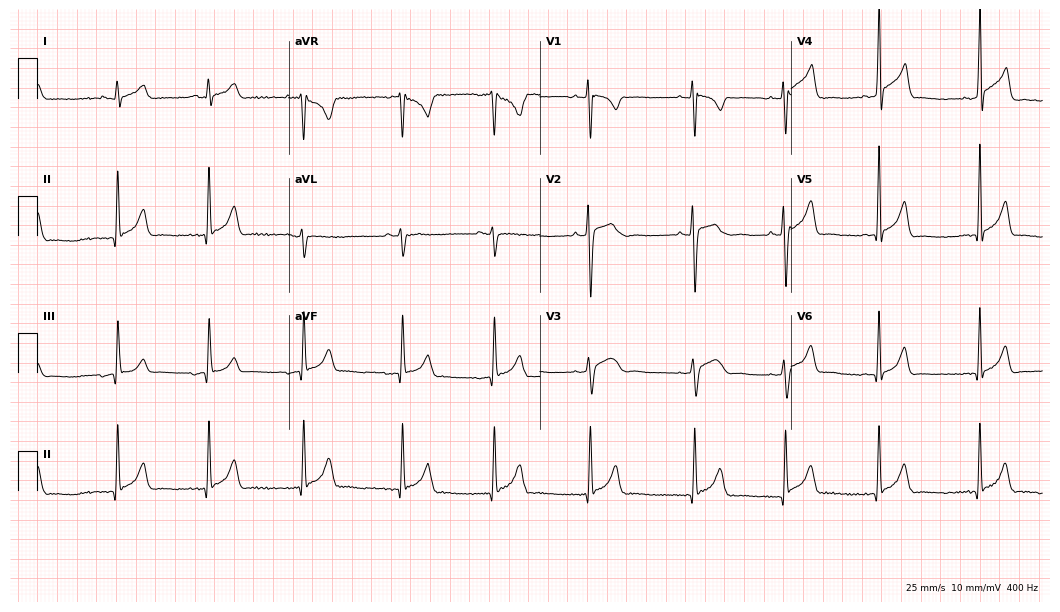
12-lead ECG (10.2-second recording at 400 Hz) from a 28-year-old woman. Labelled as a normal ECG.